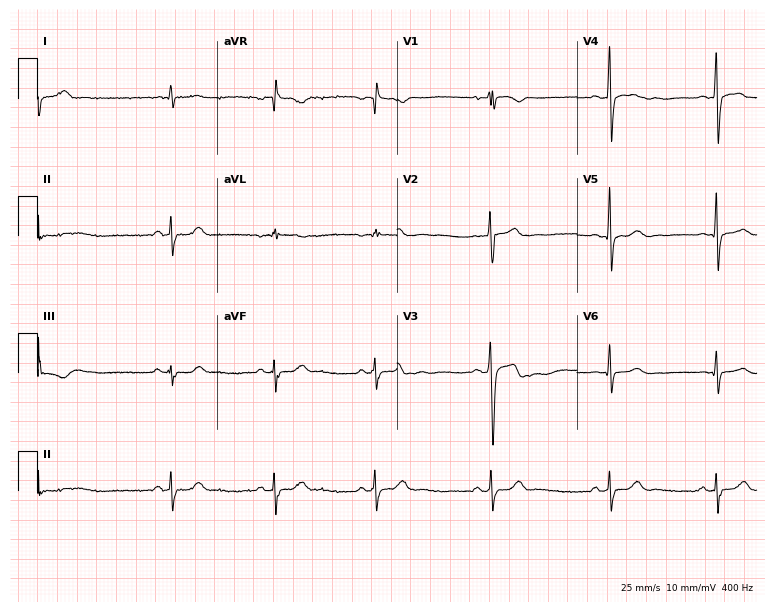
12-lead ECG from a male patient, 25 years old. No first-degree AV block, right bundle branch block, left bundle branch block, sinus bradycardia, atrial fibrillation or sinus tachycardia recorded for this tracing.